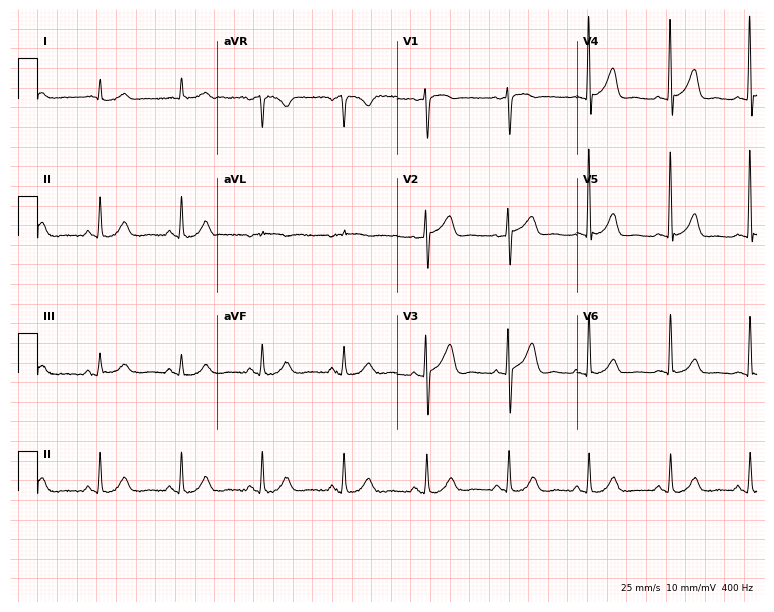
Resting 12-lead electrocardiogram (7.3-second recording at 400 Hz). Patient: a male, 77 years old. Read as a normal ECG.